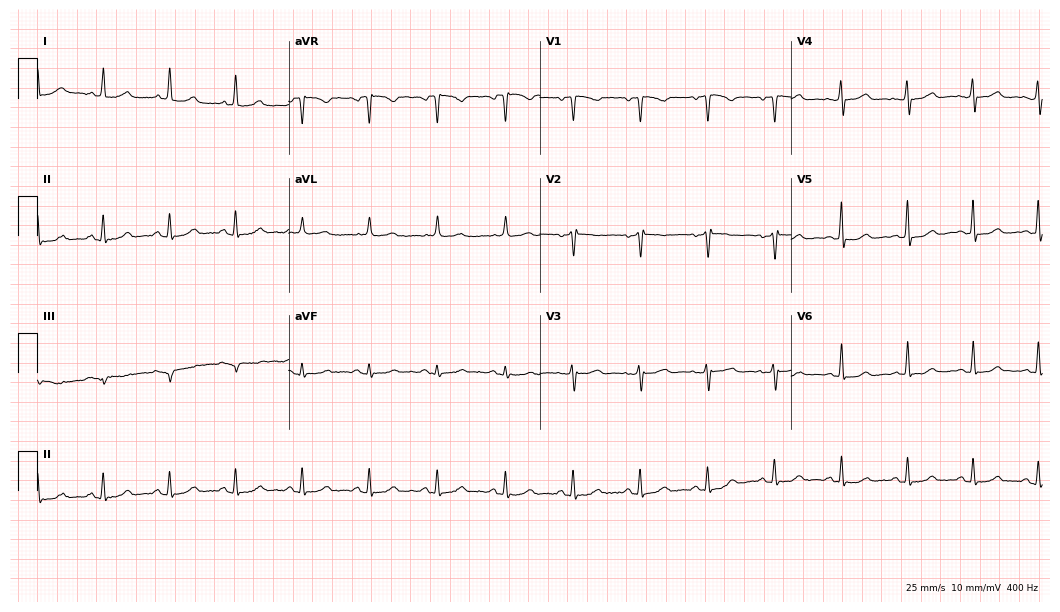
ECG (10.2-second recording at 400 Hz) — a female, 57 years old. Screened for six findings — first-degree AV block, right bundle branch block (RBBB), left bundle branch block (LBBB), sinus bradycardia, atrial fibrillation (AF), sinus tachycardia — none is recorded.